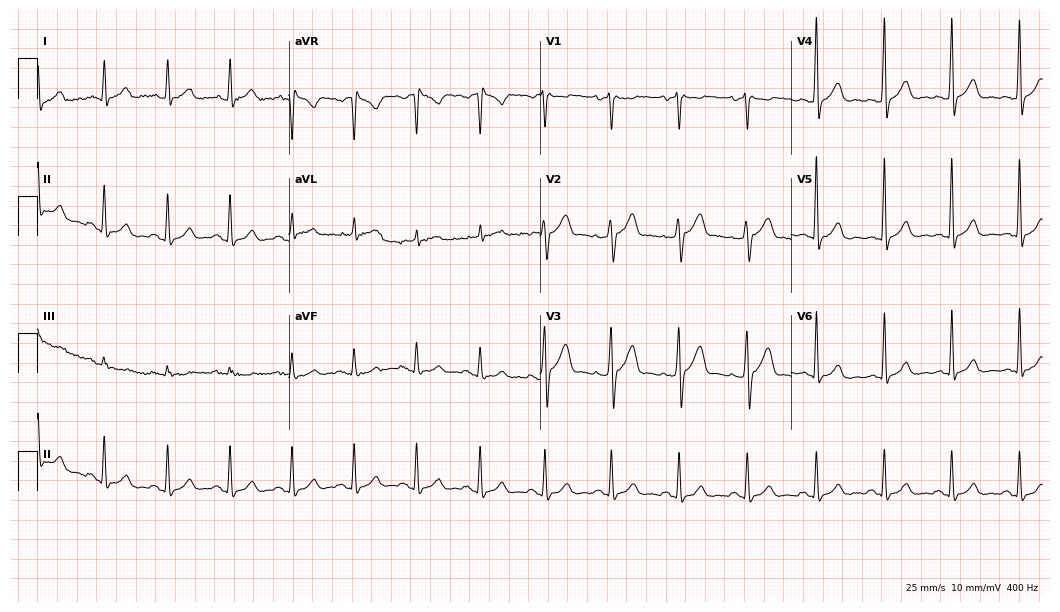
Standard 12-lead ECG recorded from a male, 56 years old. Read as a normal ECG.